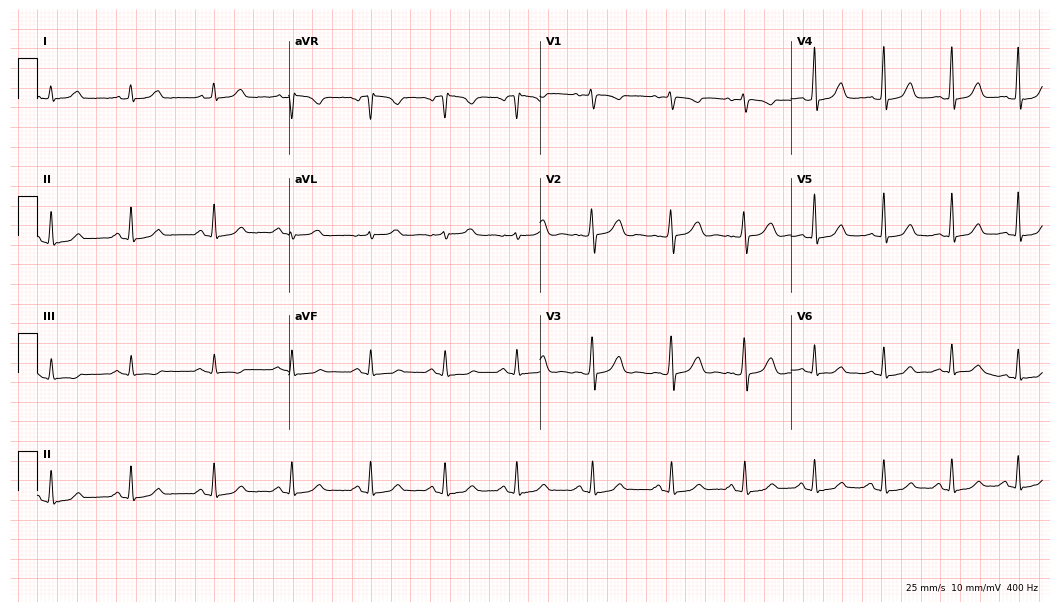
Resting 12-lead electrocardiogram. Patient: a female, 46 years old. None of these six findings is recorded: first-degree AV block, right bundle branch block, left bundle branch block, sinus bradycardia, atrial fibrillation, sinus tachycardia. Other findings, if any, are not listed.